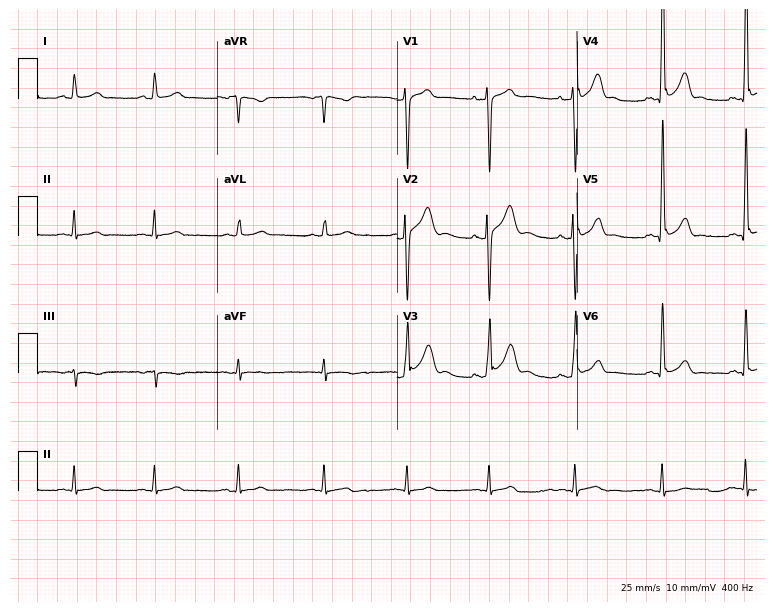
12-lead ECG from a man, 25 years old. No first-degree AV block, right bundle branch block, left bundle branch block, sinus bradycardia, atrial fibrillation or sinus tachycardia recorded for this tracing.